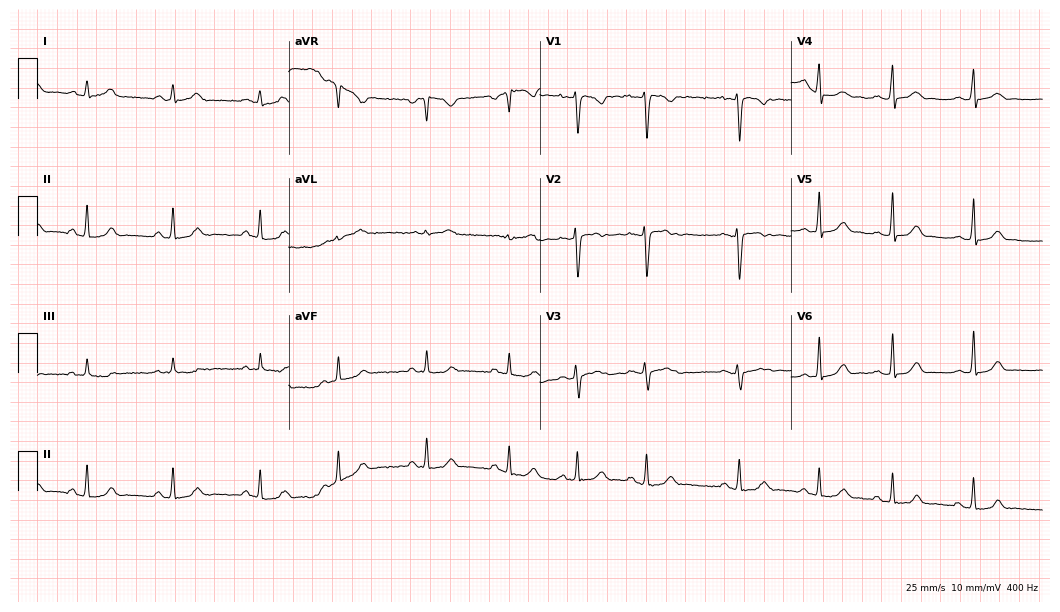
ECG — a female, 18 years old. Screened for six findings — first-degree AV block, right bundle branch block, left bundle branch block, sinus bradycardia, atrial fibrillation, sinus tachycardia — none is recorded.